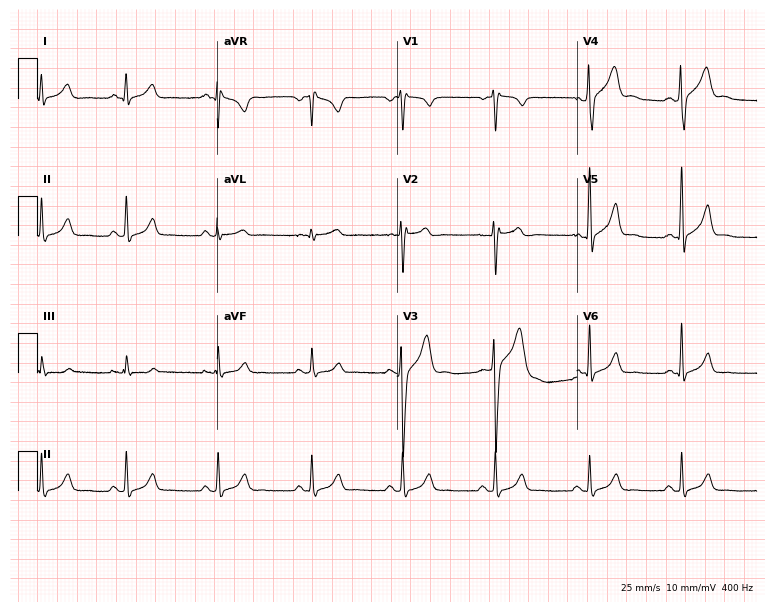
ECG (7.3-second recording at 400 Hz) — a male, 22 years old. Labelled as a normal ECG.